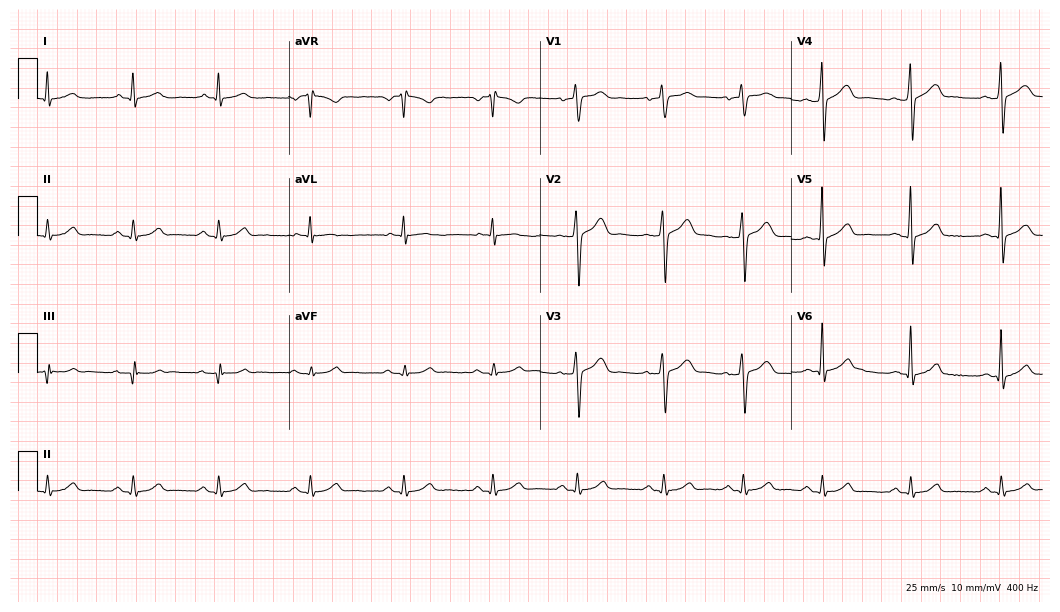
Electrocardiogram, a 35-year-old man. Overall reading on record: normal ECG.